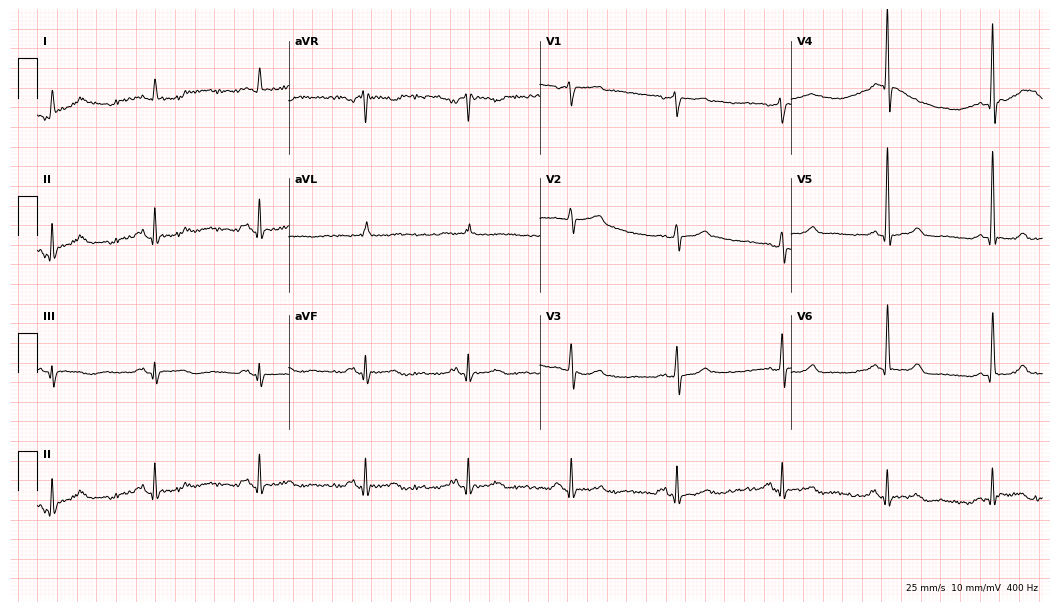
Resting 12-lead electrocardiogram (10.2-second recording at 400 Hz). Patient: a 60-year-old male. None of these six findings is recorded: first-degree AV block, right bundle branch block, left bundle branch block, sinus bradycardia, atrial fibrillation, sinus tachycardia. Other findings, if any, are not listed.